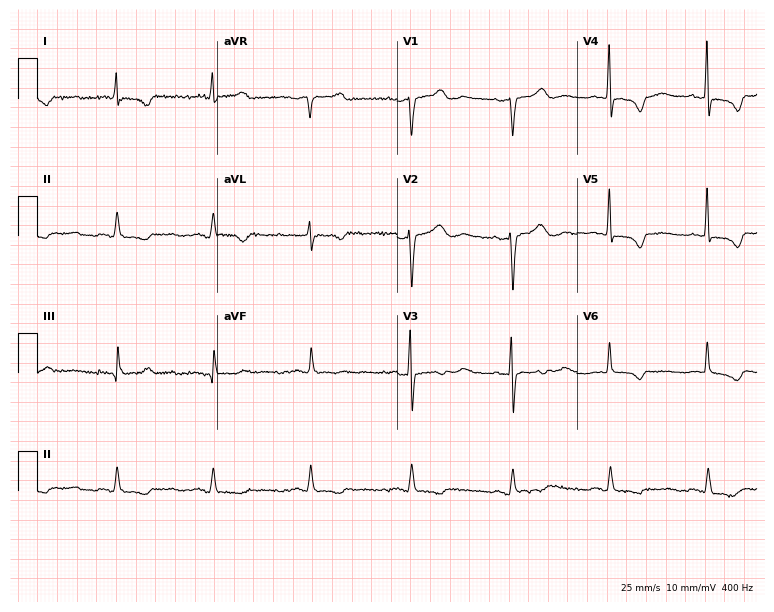
Standard 12-lead ECG recorded from a female patient, 62 years old (7.3-second recording at 400 Hz). None of these six findings is recorded: first-degree AV block, right bundle branch block, left bundle branch block, sinus bradycardia, atrial fibrillation, sinus tachycardia. Other findings, if any, are not listed.